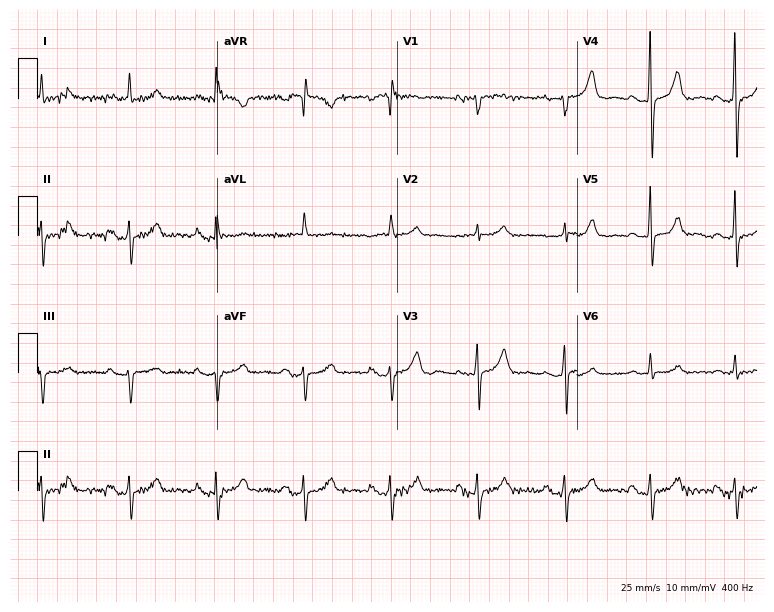
ECG — a woman, 68 years old. Screened for six findings — first-degree AV block, right bundle branch block, left bundle branch block, sinus bradycardia, atrial fibrillation, sinus tachycardia — none is recorded. Only these six findings were labelled.